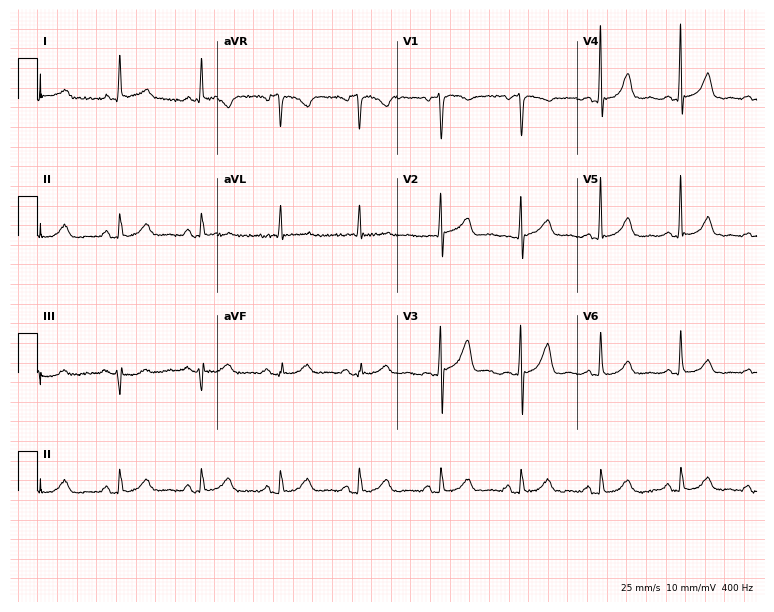
Electrocardiogram, a 66-year-old female. Of the six screened findings (first-degree AV block, right bundle branch block (RBBB), left bundle branch block (LBBB), sinus bradycardia, atrial fibrillation (AF), sinus tachycardia), none is recorded.